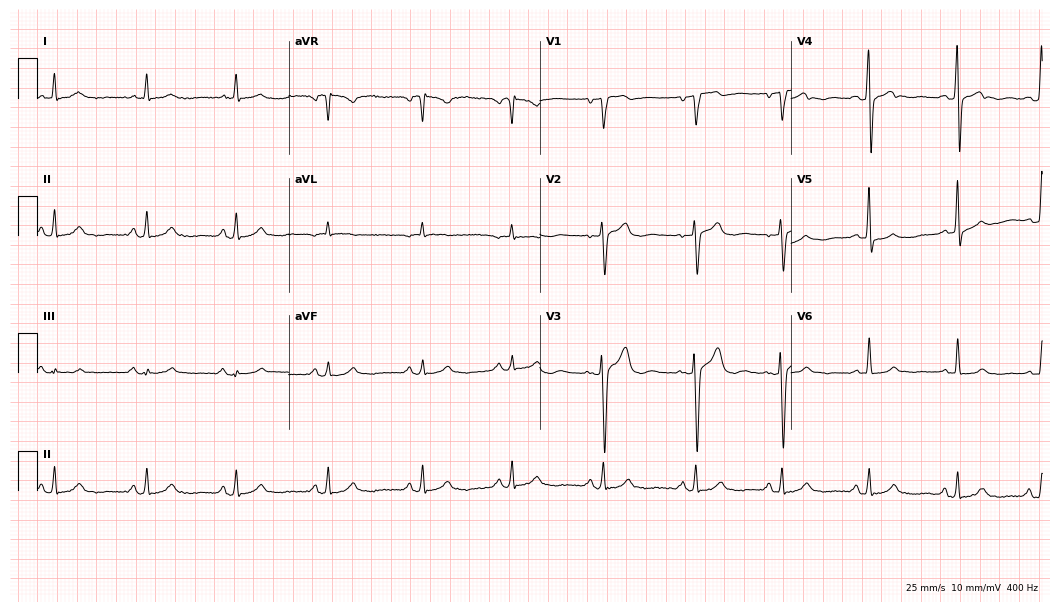
ECG (10.2-second recording at 400 Hz) — a 39-year-old male. Labelled as a normal ECG.